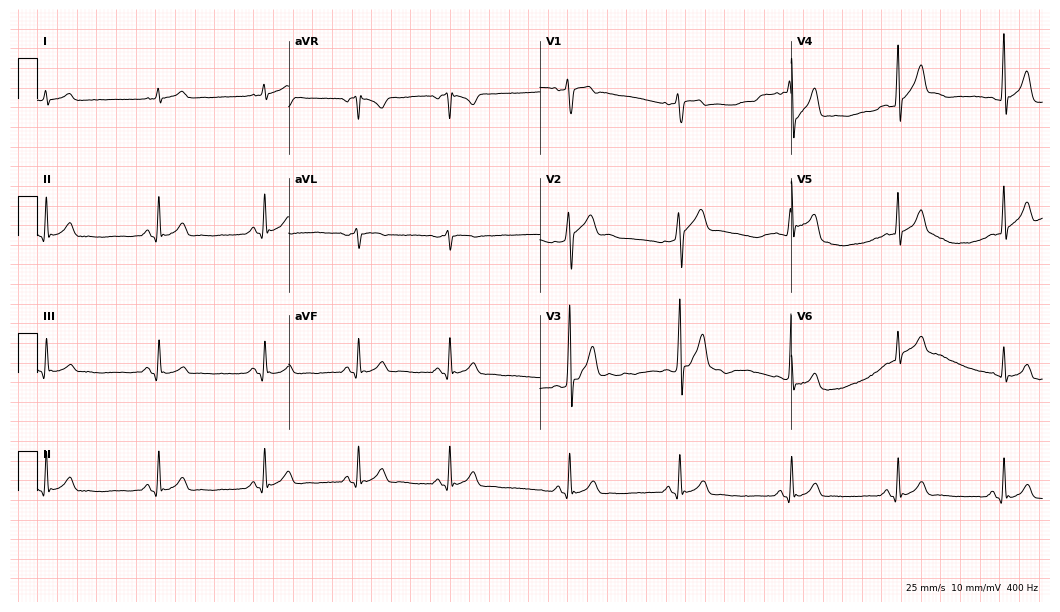
Electrocardiogram, a male, 28 years old. Overall reading on record: normal ECG.